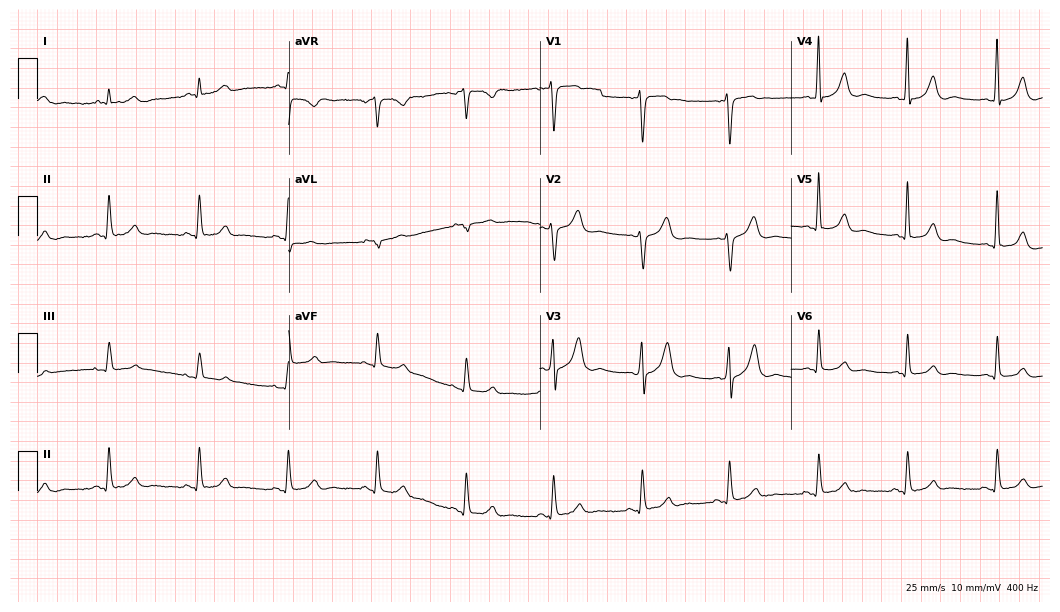
12-lead ECG from a 51-year-old male patient. Recorded interpretation: within normal limits.